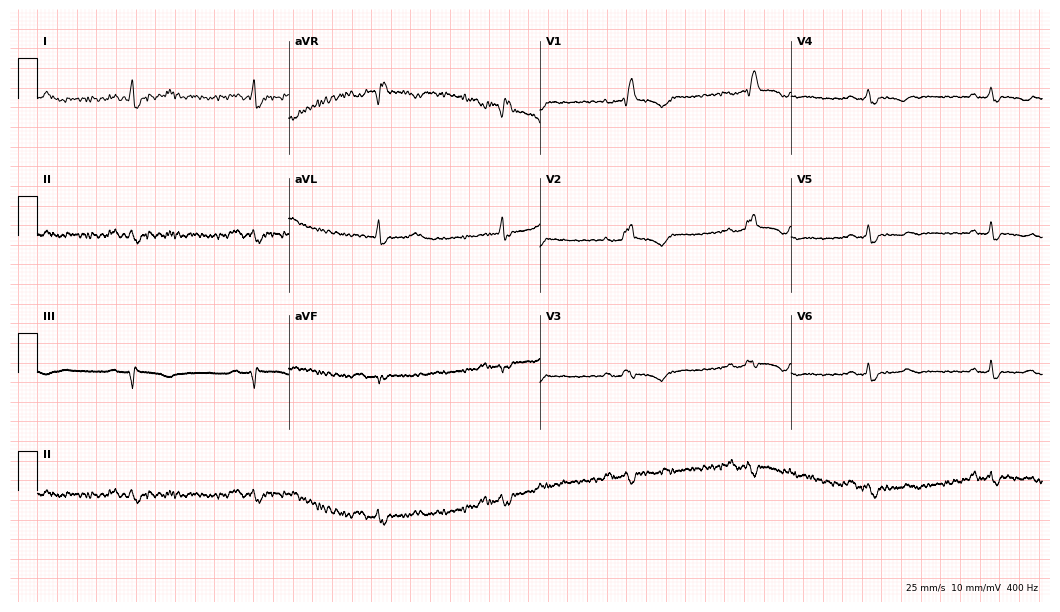
12-lead ECG (10.2-second recording at 400 Hz) from a female patient, 45 years old. Findings include right bundle branch block (RBBB), sinus bradycardia (a sinus rate of 50 beats per minute or less).